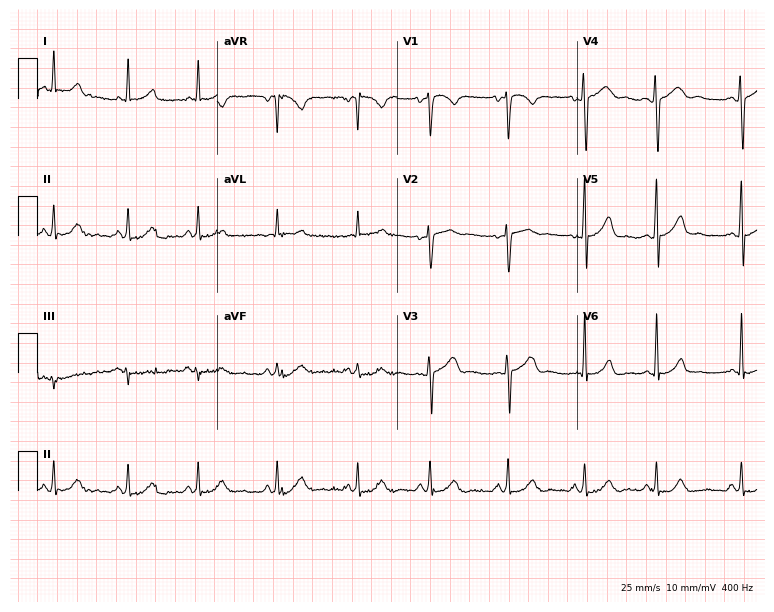
ECG — a female, 33 years old. Labelled as a normal ECG.